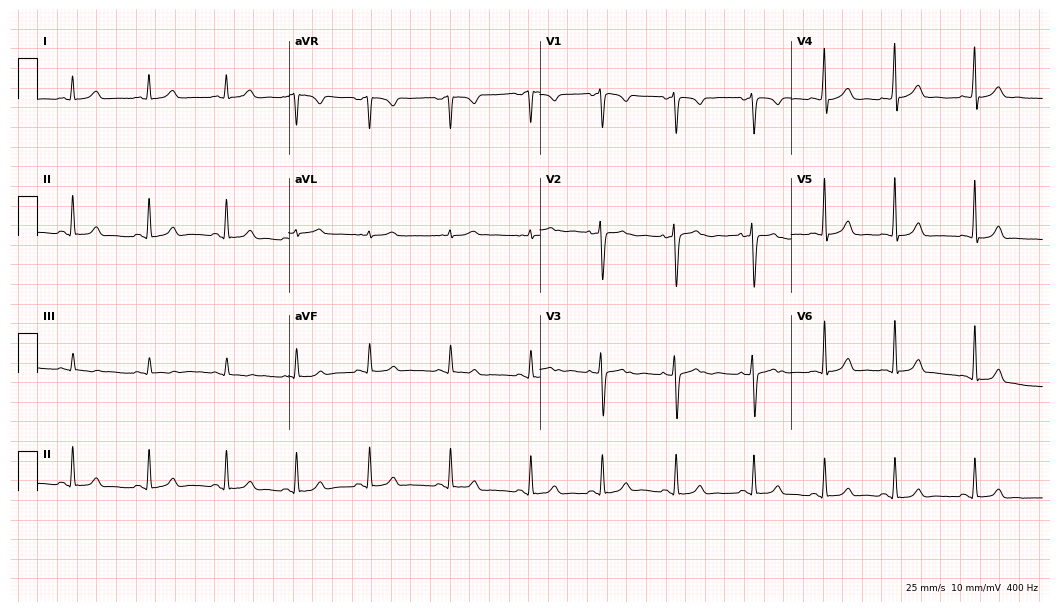
12-lead ECG (10.2-second recording at 400 Hz) from an 18-year-old female patient. Screened for six findings — first-degree AV block, right bundle branch block (RBBB), left bundle branch block (LBBB), sinus bradycardia, atrial fibrillation (AF), sinus tachycardia — none is recorded.